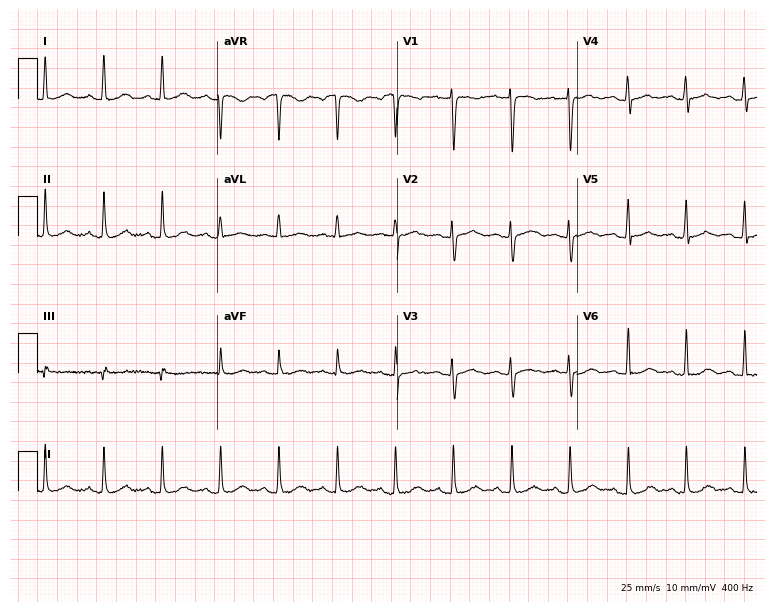
Electrocardiogram, a 25-year-old female. Interpretation includes sinus tachycardia (a sinus rate of 100 beats per minute or more).